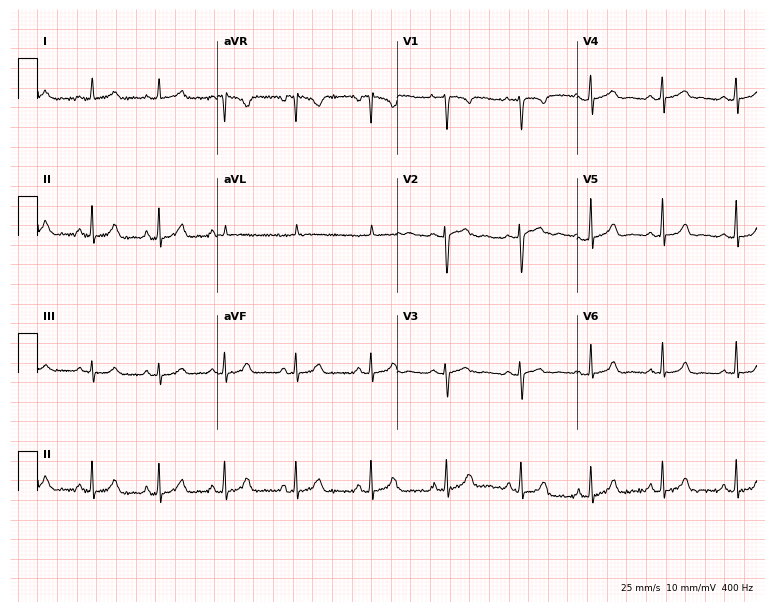
12-lead ECG from a 19-year-old woman (7.3-second recording at 400 Hz). Recorded interpretation: within normal limits.